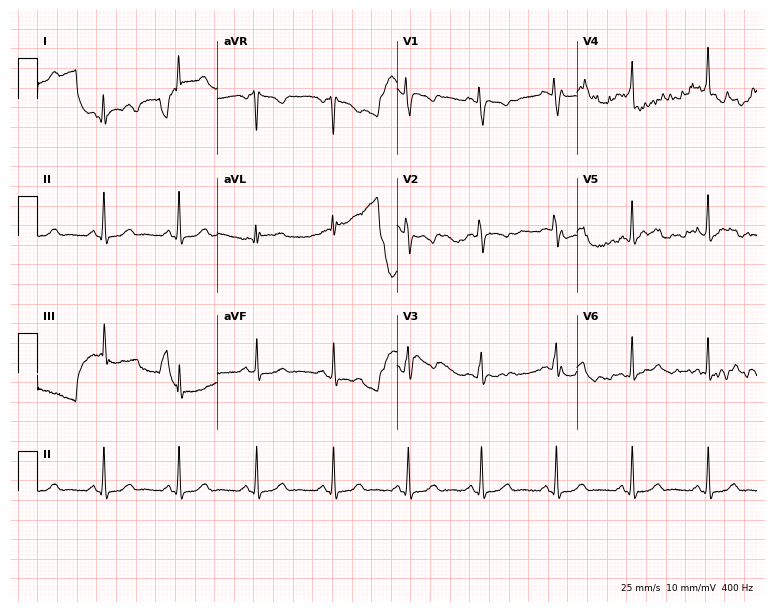
Electrocardiogram, a 22-year-old female. Of the six screened findings (first-degree AV block, right bundle branch block, left bundle branch block, sinus bradycardia, atrial fibrillation, sinus tachycardia), none is recorded.